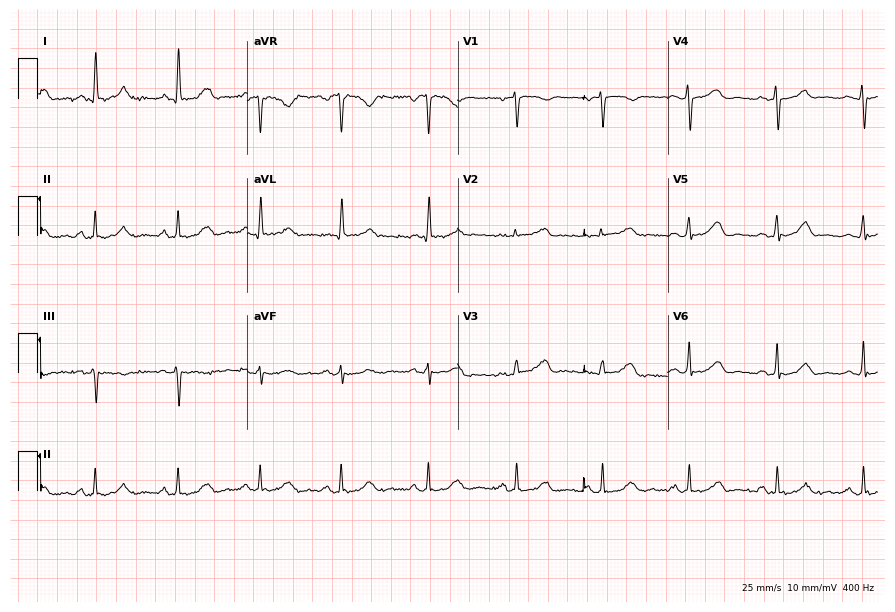
Resting 12-lead electrocardiogram (8.6-second recording at 400 Hz). Patient: a woman, 55 years old. None of these six findings is recorded: first-degree AV block, right bundle branch block, left bundle branch block, sinus bradycardia, atrial fibrillation, sinus tachycardia. Only these six findings were labelled.